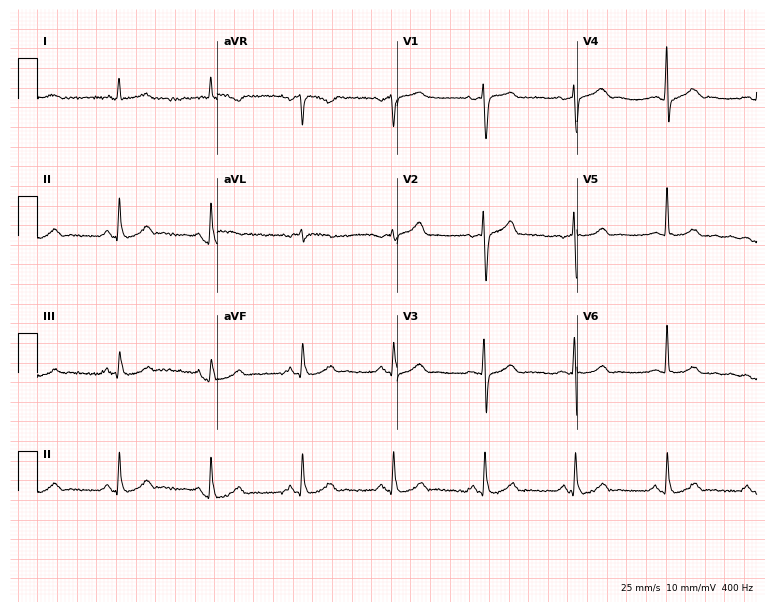
12-lead ECG from a male patient, 72 years old (7.3-second recording at 400 Hz). Recorded interpretation: within normal limits.